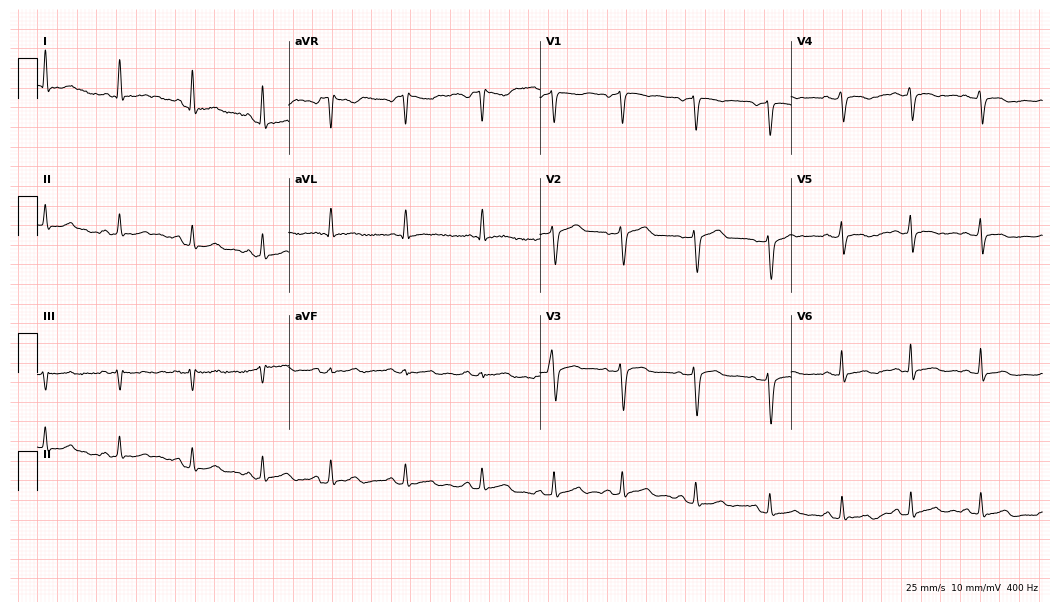
ECG (10.2-second recording at 400 Hz) — a female patient, 50 years old. Screened for six findings — first-degree AV block, right bundle branch block, left bundle branch block, sinus bradycardia, atrial fibrillation, sinus tachycardia — none is recorded. Findings outside these six are not listed.